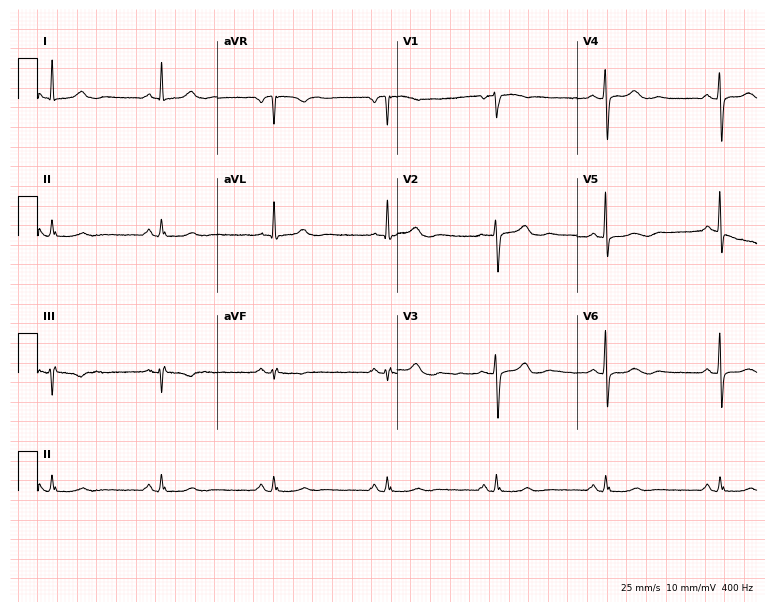
ECG — a female, 58 years old. Labelled as a normal ECG.